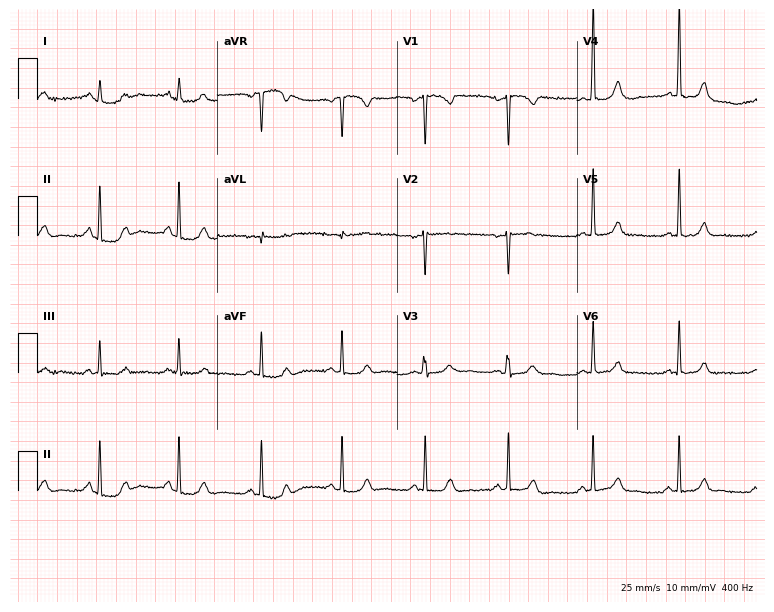
Resting 12-lead electrocardiogram (7.3-second recording at 400 Hz). Patient: a 53-year-old female. None of these six findings is recorded: first-degree AV block, right bundle branch block, left bundle branch block, sinus bradycardia, atrial fibrillation, sinus tachycardia.